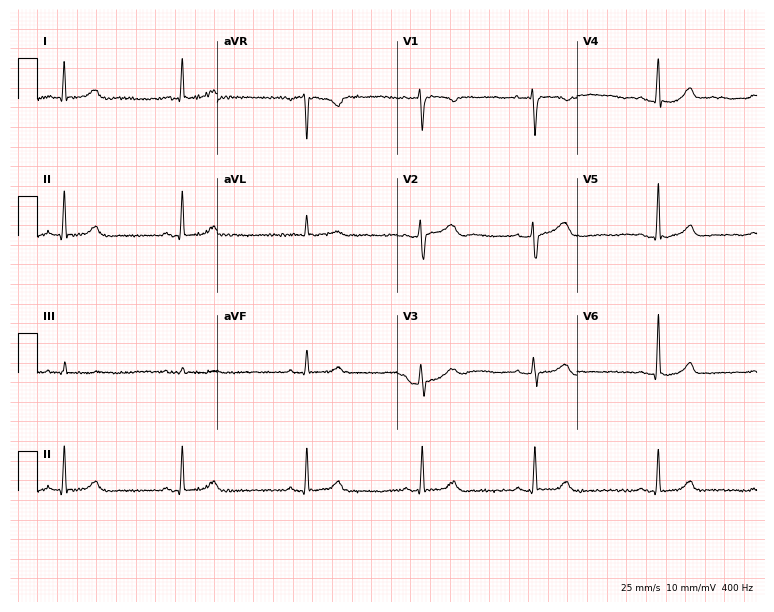
ECG (7.3-second recording at 400 Hz) — a female, 39 years old. Labelled as a normal ECG.